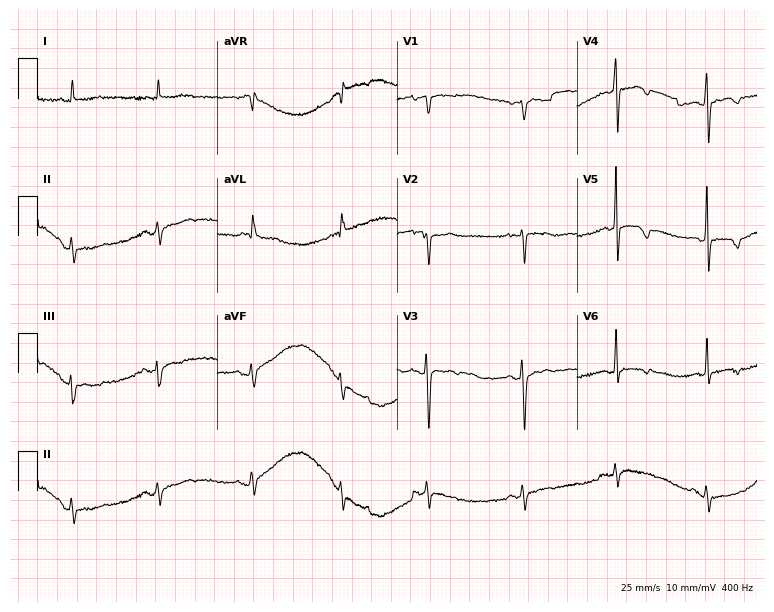
Electrocardiogram, a 71-year-old female patient. Of the six screened findings (first-degree AV block, right bundle branch block, left bundle branch block, sinus bradycardia, atrial fibrillation, sinus tachycardia), none is recorded. Findings outside these six are not listed.